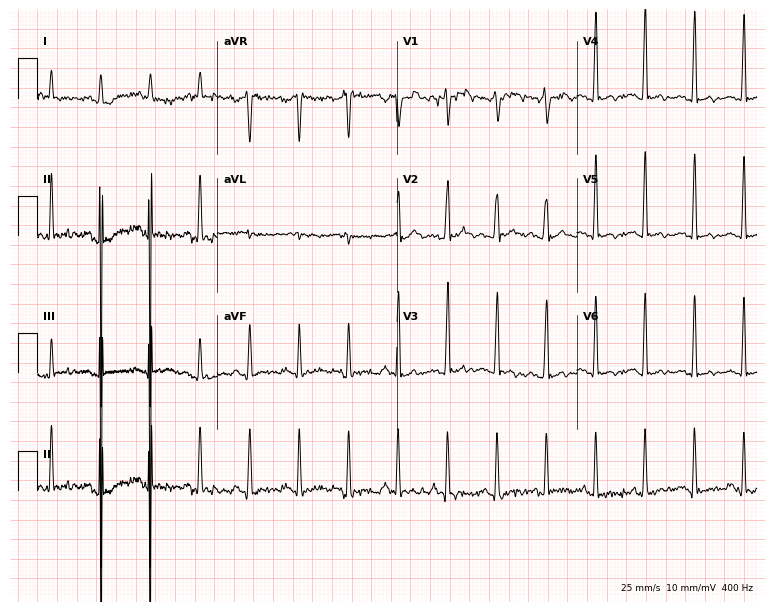
12-lead ECG from a 31-year-old male patient. Shows sinus tachycardia (a sinus rate of 100 beats per minute or more).